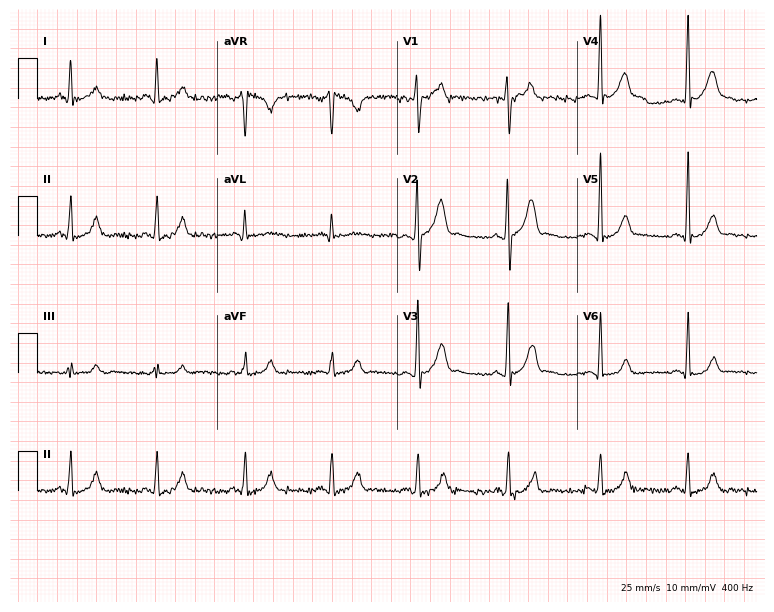
12-lead ECG from a 27-year-old male patient. No first-degree AV block, right bundle branch block (RBBB), left bundle branch block (LBBB), sinus bradycardia, atrial fibrillation (AF) or sinus tachycardia recorded for this tracing. Findings outside these six are not listed.